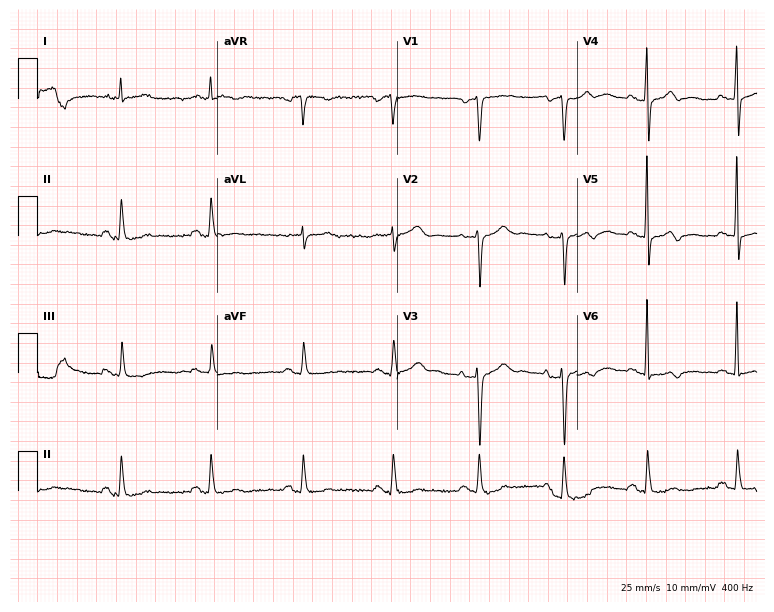
Resting 12-lead electrocardiogram. Patient: a male, 54 years old. None of these six findings is recorded: first-degree AV block, right bundle branch block, left bundle branch block, sinus bradycardia, atrial fibrillation, sinus tachycardia. Other findings, if any, are not listed.